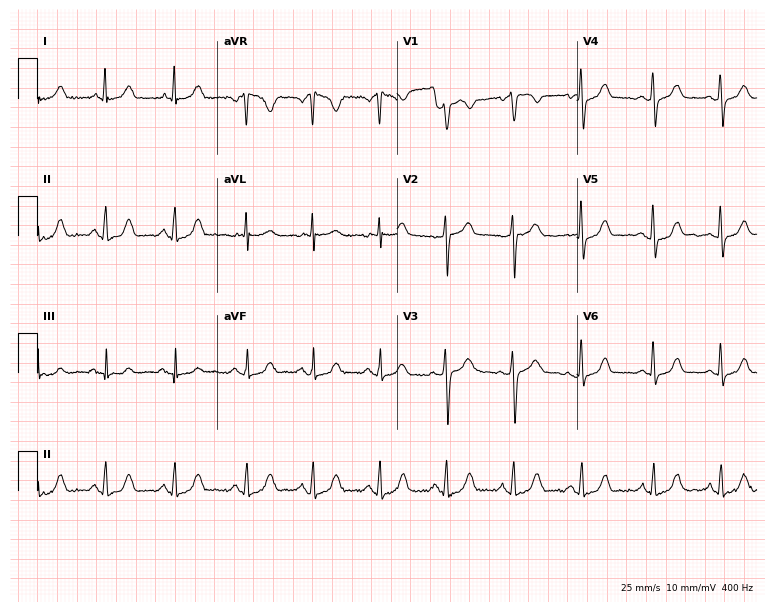
12-lead ECG (7.3-second recording at 400 Hz) from a female patient, 49 years old. Labelled as a normal ECG.